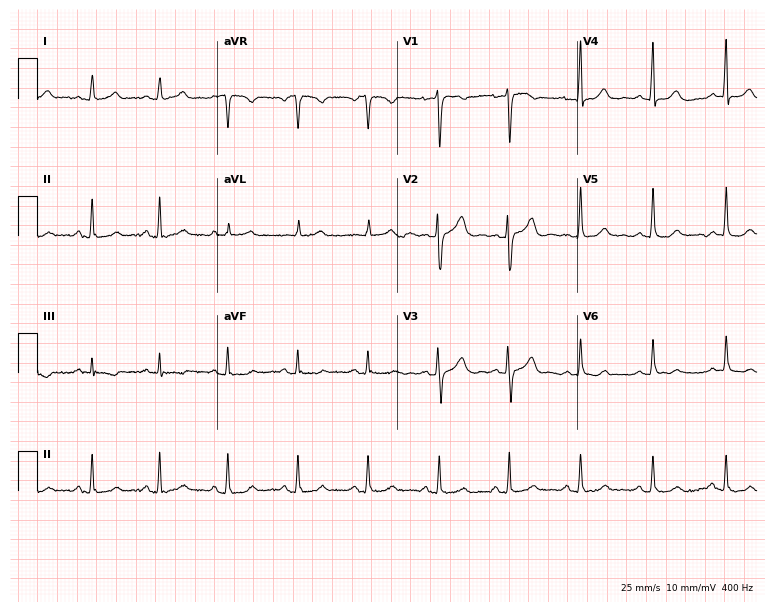
Resting 12-lead electrocardiogram (7.3-second recording at 400 Hz). Patient: a male, 72 years old. None of these six findings is recorded: first-degree AV block, right bundle branch block (RBBB), left bundle branch block (LBBB), sinus bradycardia, atrial fibrillation (AF), sinus tachycardia. Only these six findings were labelled.